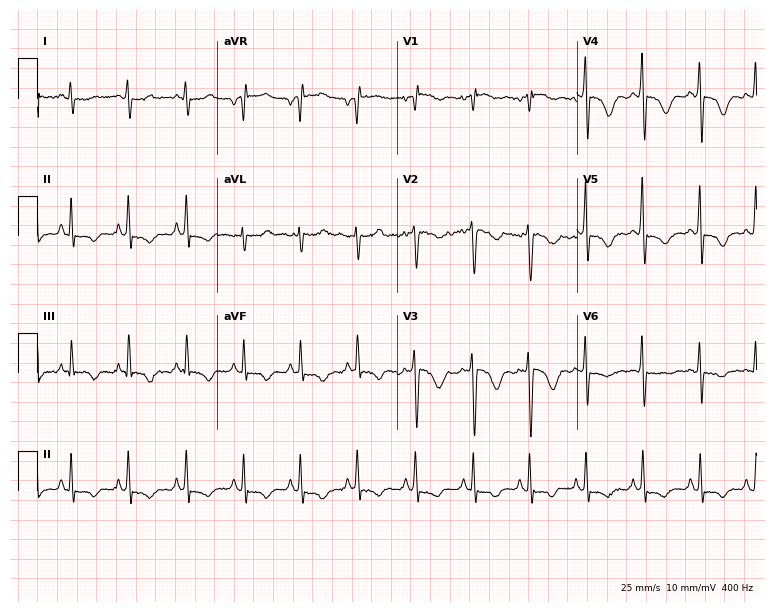
12-lead ECG (7.3-second recording at 400 Hz) from a man, 37 years old. Findings include sinus tachycardia (a sinus rate of 100 beats per minute or more).